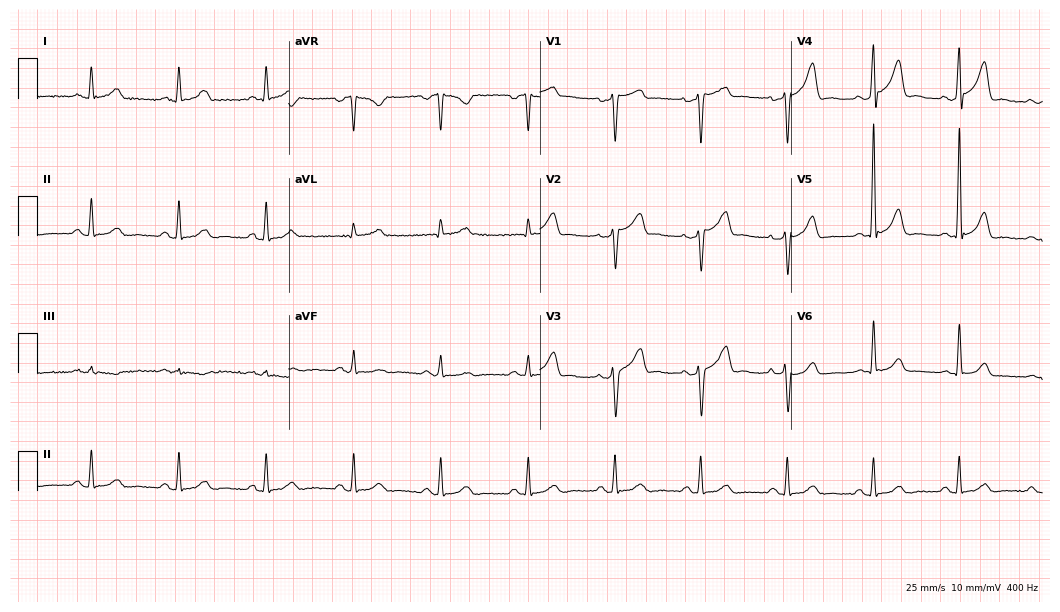
12-lead ECG from a 55-year-old male patient. Labelled as a normal ECG.